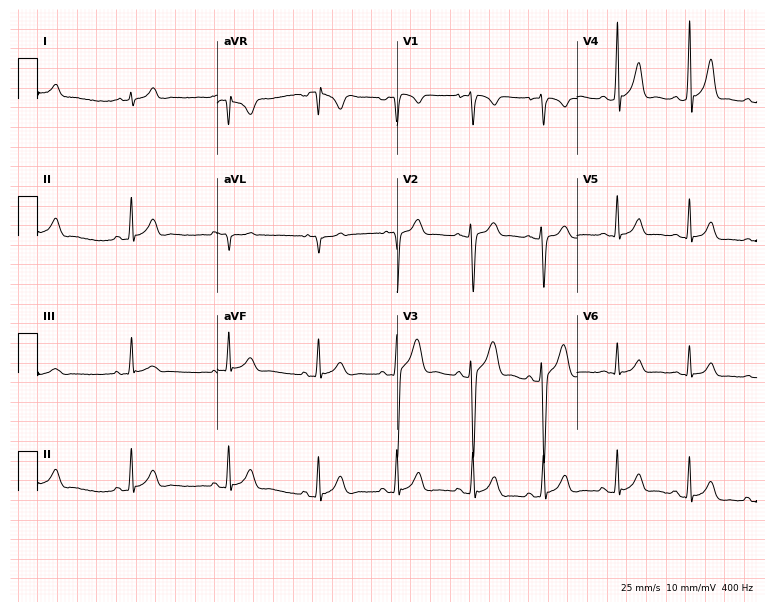
Electrocardiogram (7.3-second recording at 400 Hz), a male patient, 18 years old. Of the six screened findings (first-degree AV block, right bundle branch block (RBBB), left bundle branch block (LBBB), sinus bradycardia, atrial fibrillation (AF), sinus tachycardia), none is recorded. Only these six findings were labelled.